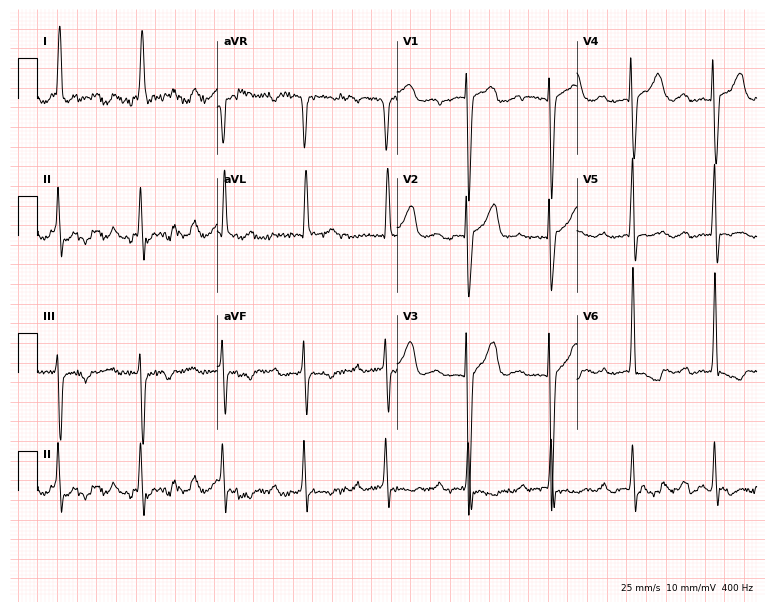
Electrocardiogram (7.3-second recording at 400 Hz), a 78-year-old male. Of the six screened findings (first-degree AV block, right bundle branch block, left bundle branch block, sinus bradycardia, atrial fibrillation, sinus tachycardia), none is recorded. Other findings, if any, are not listed.